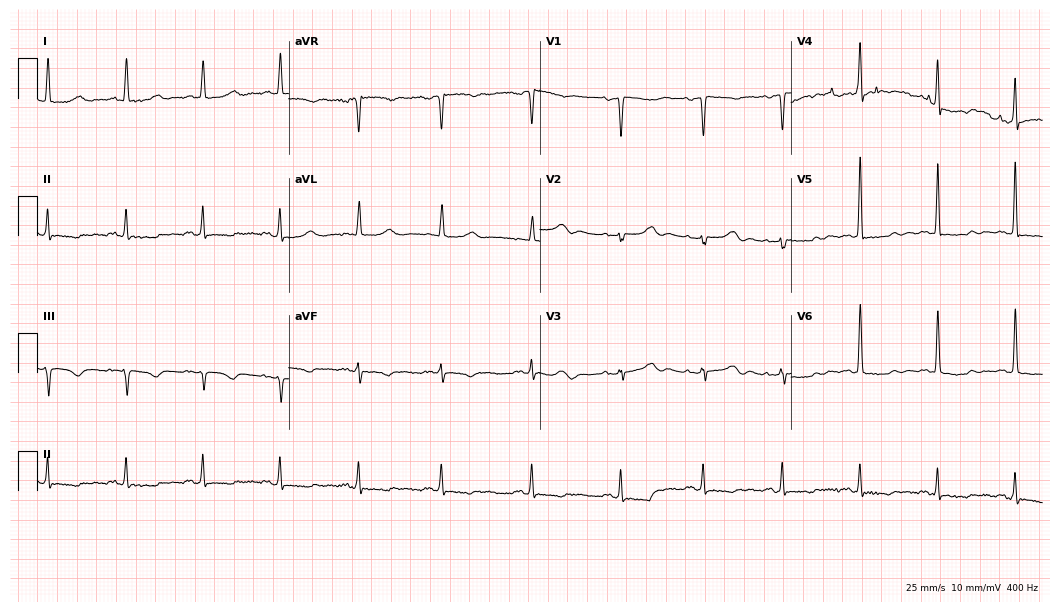
12-lead ECG (10.2-second recording at 400 Hz) from a woman, 73 years old. Screened for six findings — first-degree AV block, right bundle branch block, left bundle branch block, sinus bradycardia, atrial fibrillation, sinus tachycardia — none is recorded.